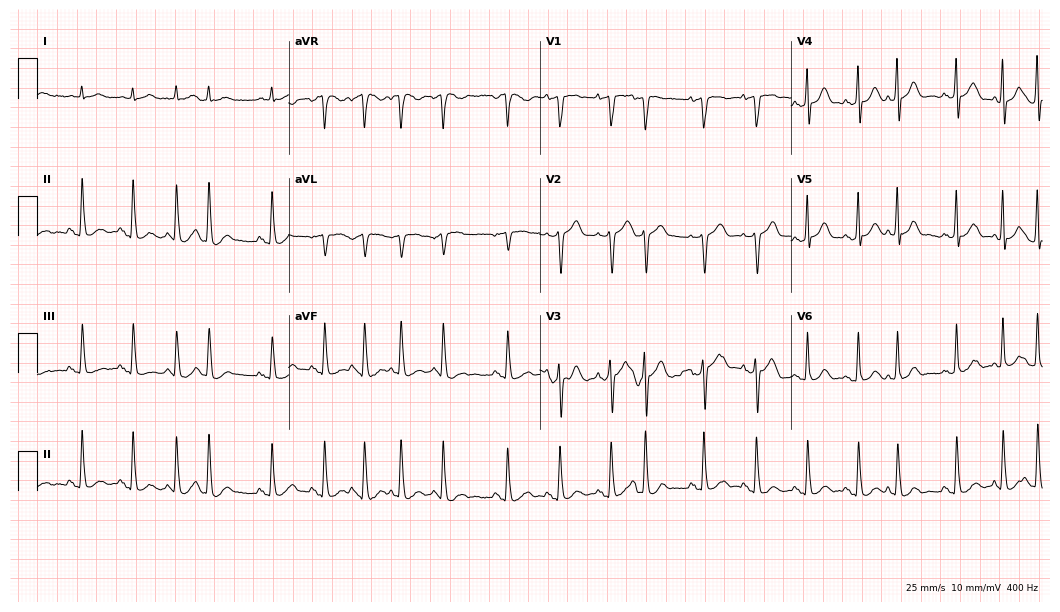
Standard 12-lead ECG recorded from an 80-year-old male (10.2-second recording at 400 Hz). None of these six findings is recorded: first-degree AV block, right bundle branch block, left bundle branch block, sinus bradycardia, atrial fibrillation, sinus tachycardia.